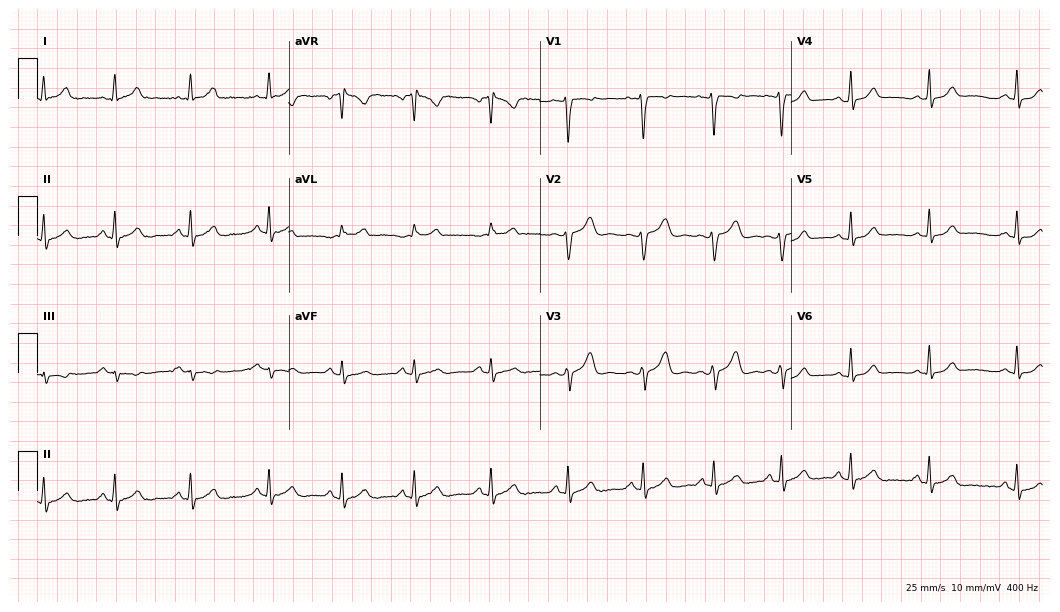
12-lead ECG from a female patient, 22 years old (10.2-second recording at 400 Hz). Recorded interpretation: within normal limits.